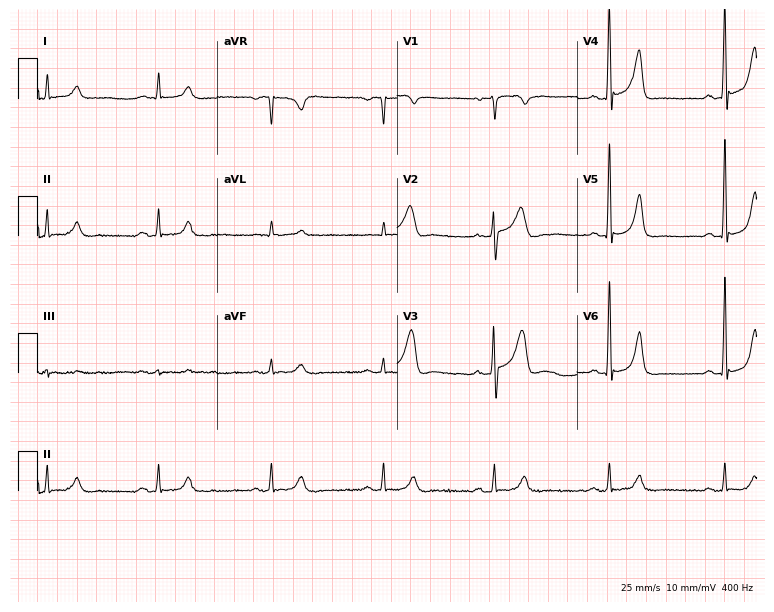
Resting 12-lead electrocardiogram. Patient: a 77-year-old man. None of these six findings is recorded: first-degree AV block, right bundle branch block, left bundle branch block, sinus bradycardia, atrial fibrillation, sinus tachycardia.